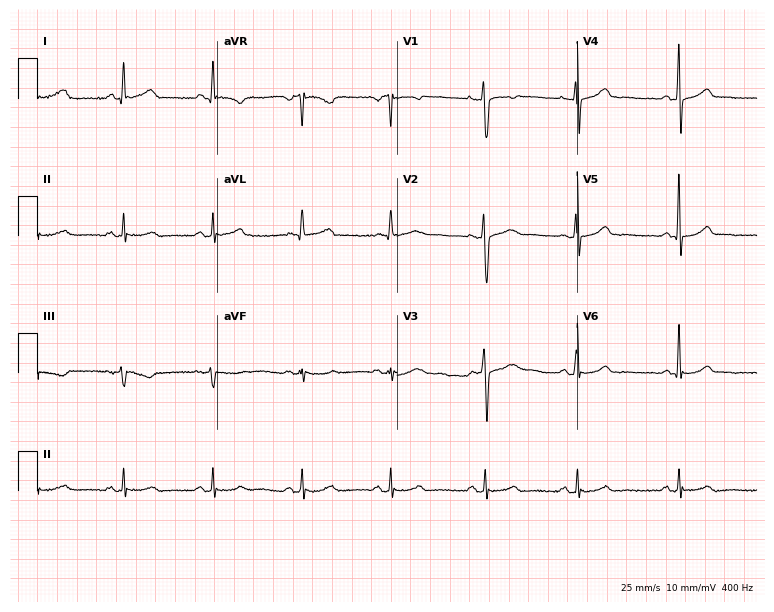
12-lead ECG (7.3-second recording at 400 Hz) from a 48-year-old female. Labelled as a normal ECG.